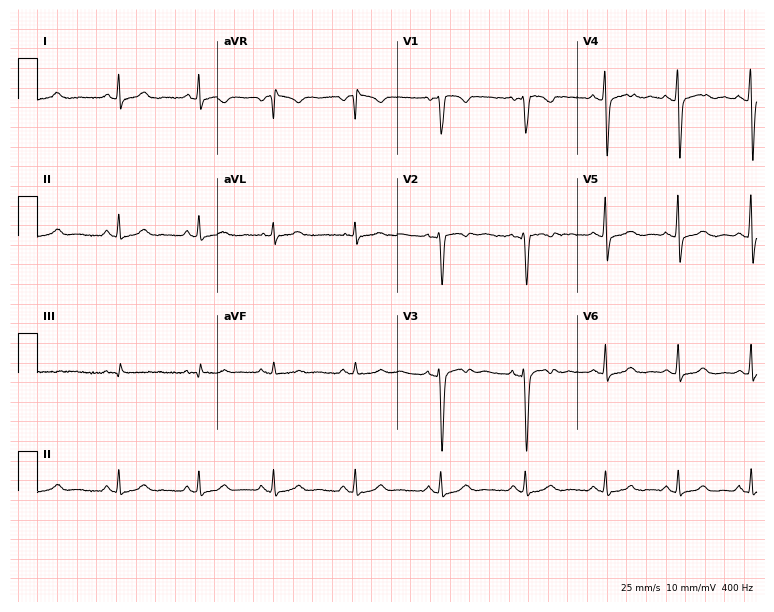
12-lead ECG from a female patient, 27 years old. Labelled as a normal ECG.